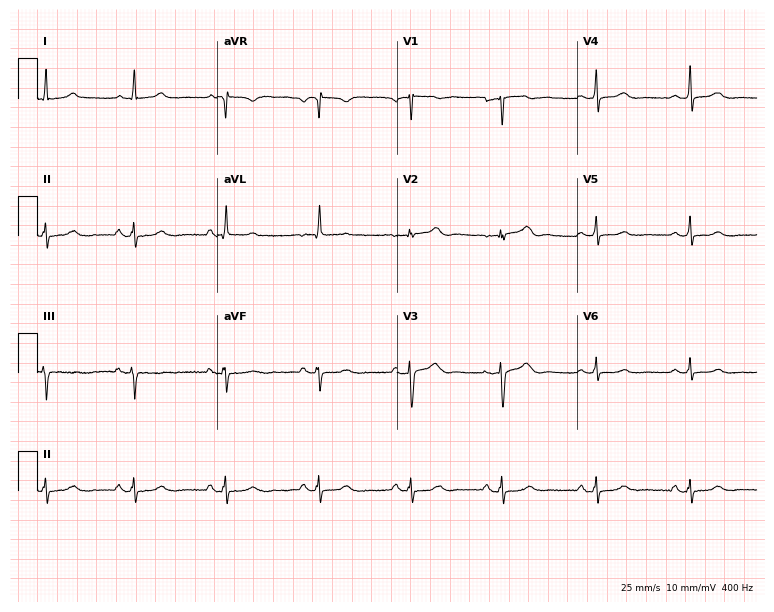
12-lead ECG from a female, 36 years old. No first-degree AV block, right bundle branch block (RBBB), left bundle branch block (LBBB), sinus bradycardia, atrial fibrillation (AF) or sinus tachycardia recorded for this tracing. Other findings, if any, are not listed.